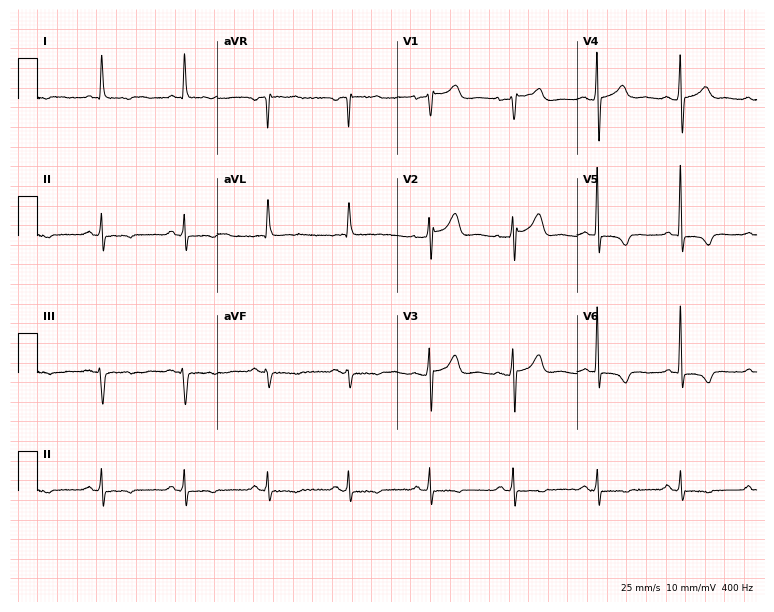
Electrocardiogram, a female, 79 years old. Of the six screened findings (first-degree AV block, right bundle branch block, left bundle branch block, sinus bradycardia, atrial fibrillation, sinus tachycardia), none is recorded. Other findings, if any, are not listed.